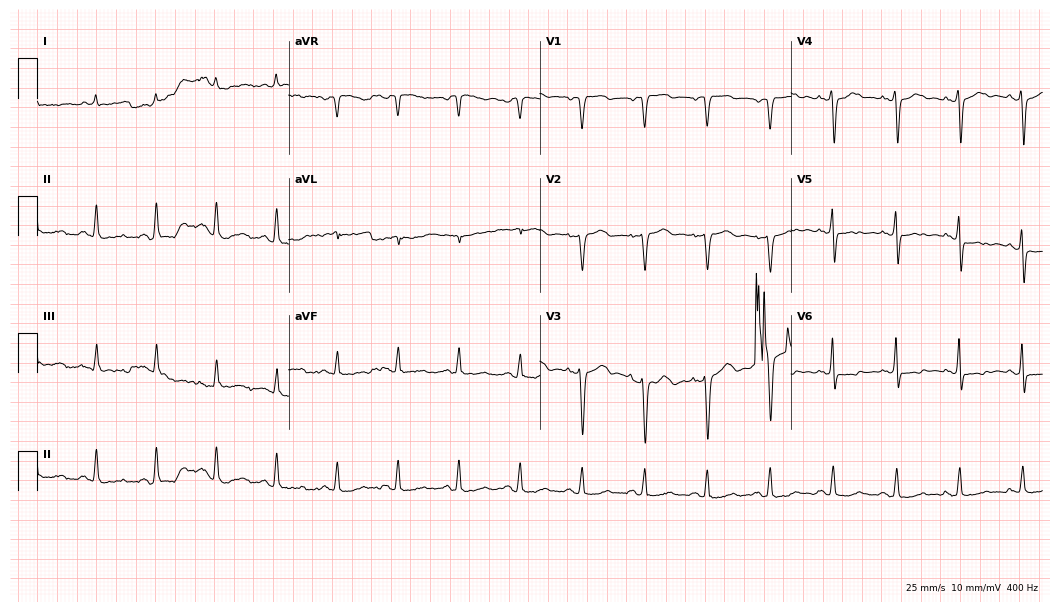
ECG — a 55-year-old female patient. Screened for six findings — first-degree AV block, right bundle branch block, left bundle branch block, sinus bradycardia, atrial fibrillation, sinus tachycardia — none is recorded.